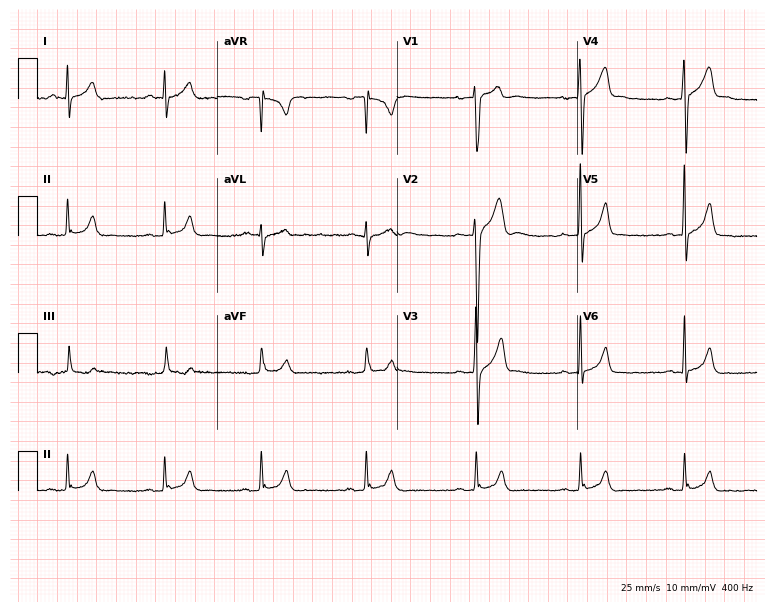
12-lead ECG (7.3-second recording at 400 Hz) from a 17-year-old man. Labelled as a normal ECG.